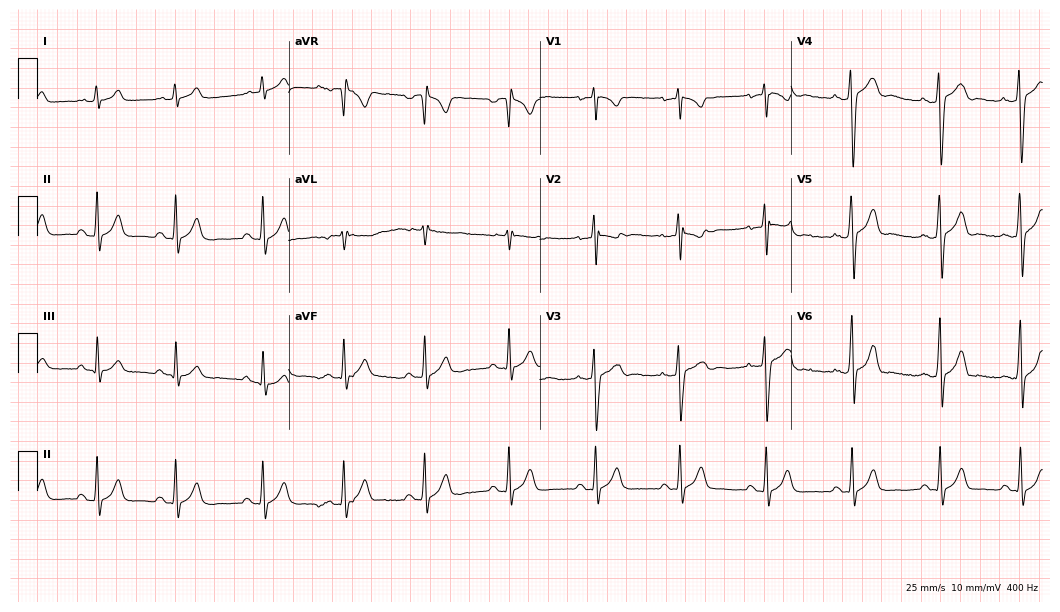
ECG (10.2-second recording at 400 Hz) — a male patient, 21 years old. Screened for six findings — first-degree AV block, right bundle branch block, left bundle branch block, sinus bradycardia, atrial fibrillation, sinus tachycardia — none is recorded. Findings outside these six are not listed.